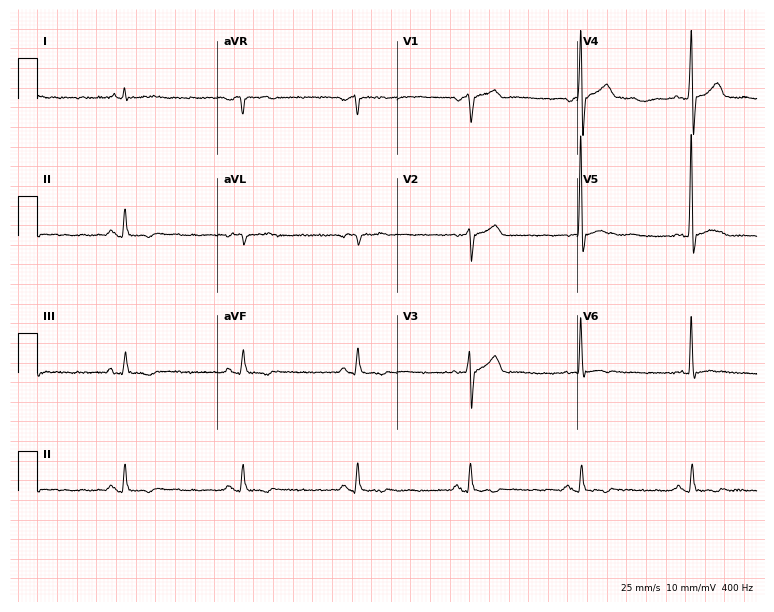
12-lead ECG from a male patient, 70 years old (7.3-second recording at 400 Hz). No first-degree AV block, right bundle branch block (RBBB), left bundle branch block (LBBB), sinus bradycardia, atrial fibrillation (AF) or sinus tachycardia recorded for this tracing. Only these six findings were labelled.